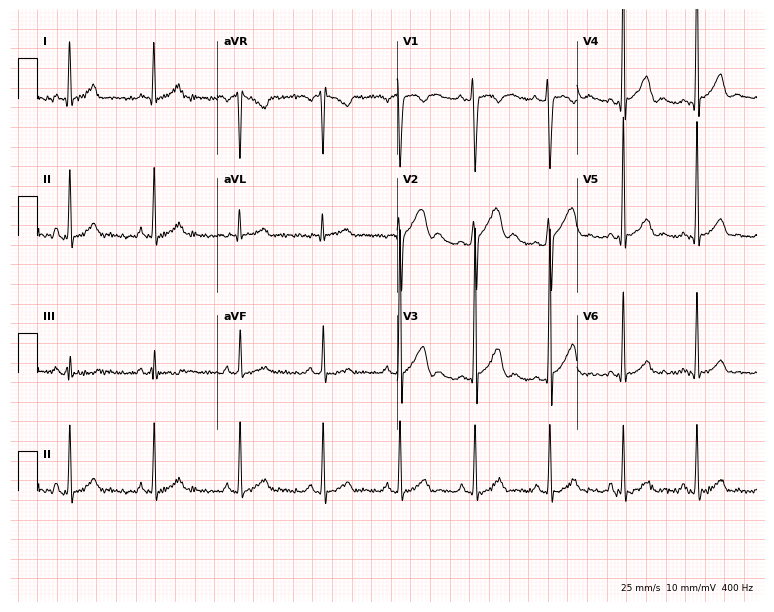
Electrocardiogram (7.3-second recording at 400 Hz), a male, 25 years old. Of the six screened findings (first-degree AV block, right bundle branch block (RBBB), left bundle branch block (LBBB), sinus bradycardia, atrial fibrillation (AF), sinus tachycardia), none is recorded.